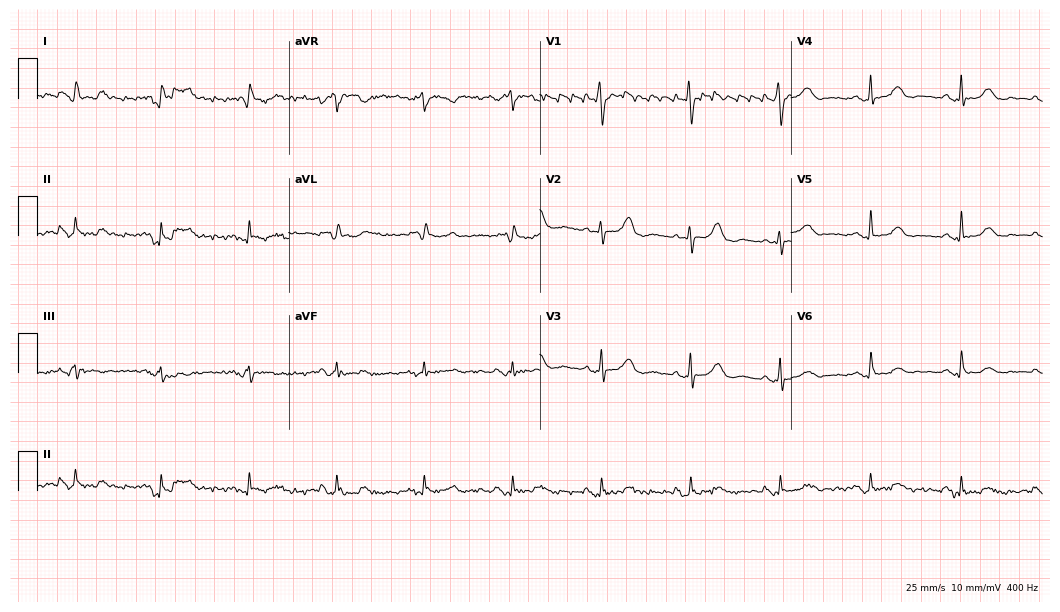
12-lead ECG from a female patient, 76 years old. No first-degree AV block, right bundle branch block (RBBB), left bundle branch block (LBBB), sinus bradycardia, atrial fibrillation (AF) or sinus tachycardia recorded for this tracing. Only these six findings were labelled.